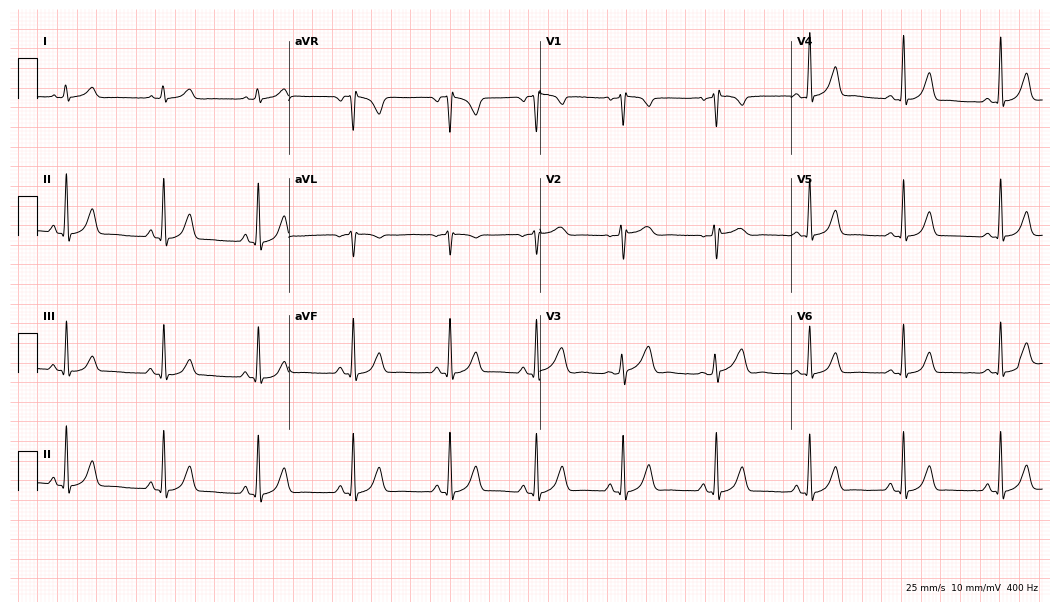
Standard 12-lead ECG recorded from a female, 51 years old. Read as a normal ECG.